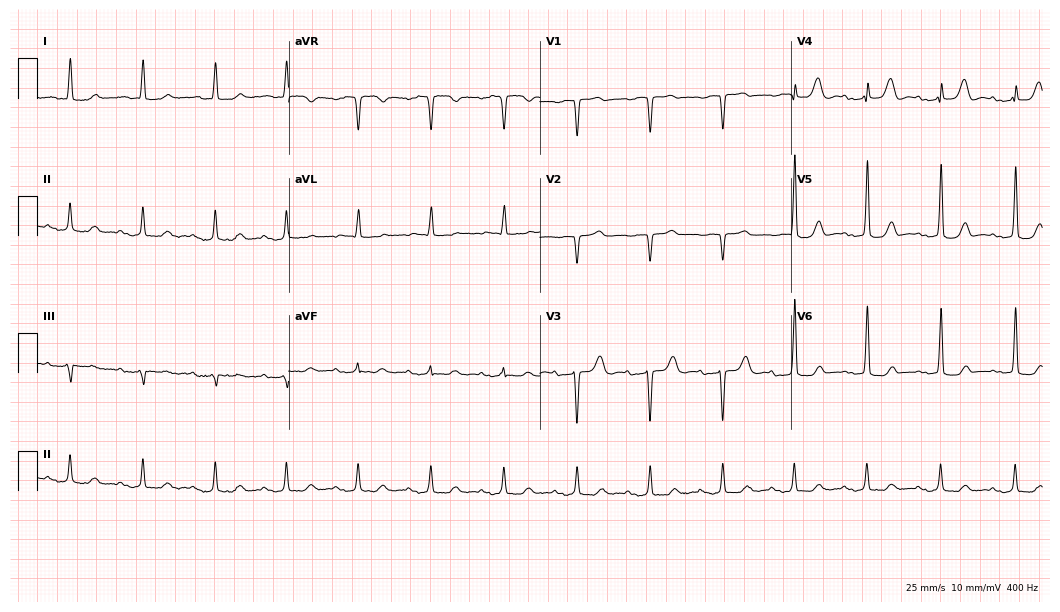
12-lead ECG from an 83-year-old female patient. No first-degree AV block, right bundle branch block, left bundle branch block, sinus bradycardia, atrial fibrillation or sinus tachycardia recorded for this tracing. Findings outside these six are not listed.